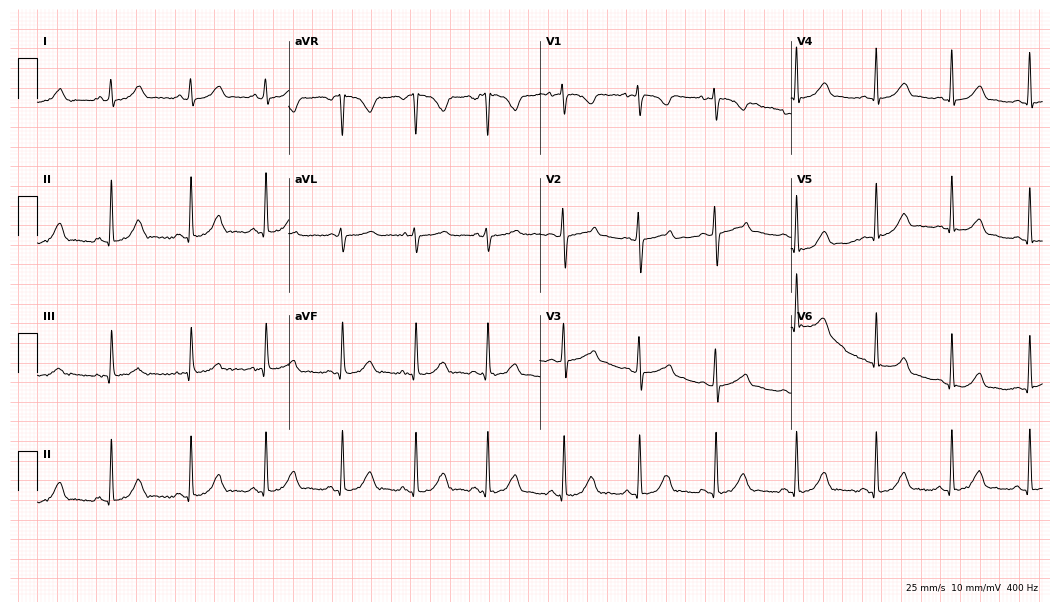
Electrocardiogram, a female, 17 years old. Of the six screened findings (first-degree AV block, right bundle branch block (RBBB), left bundle branch block (LBBB), sinus bradycardia, atrial fibrillation (AF), sinus tachycardia), none is recorded. Other findings, if any, are not listed.